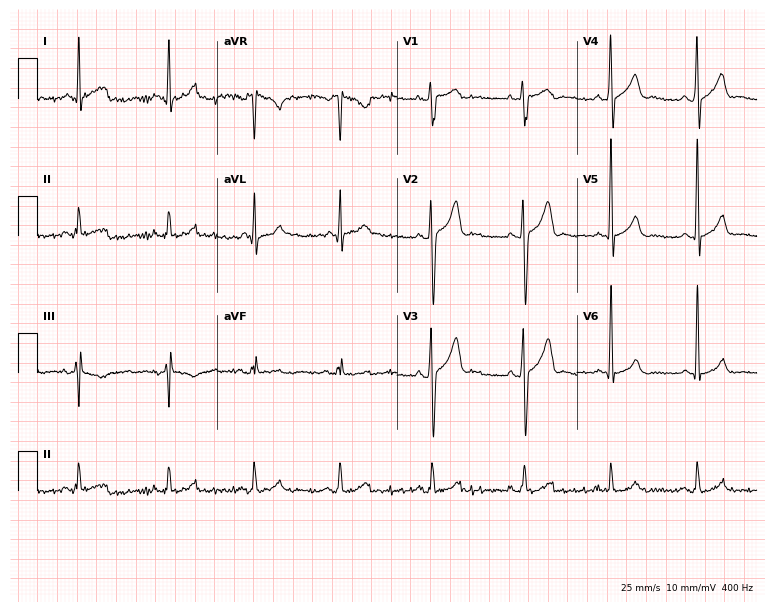
Resting 12-lead electrocardiogram. Patient: a 33-year-old male. None of these six findings is recorded: first-degree AV block, right bundle branch block, left bundle branch block, sinus bradycardia, atrial fibrillation, sinus tachycardia. Other findings, if any, are not listed.